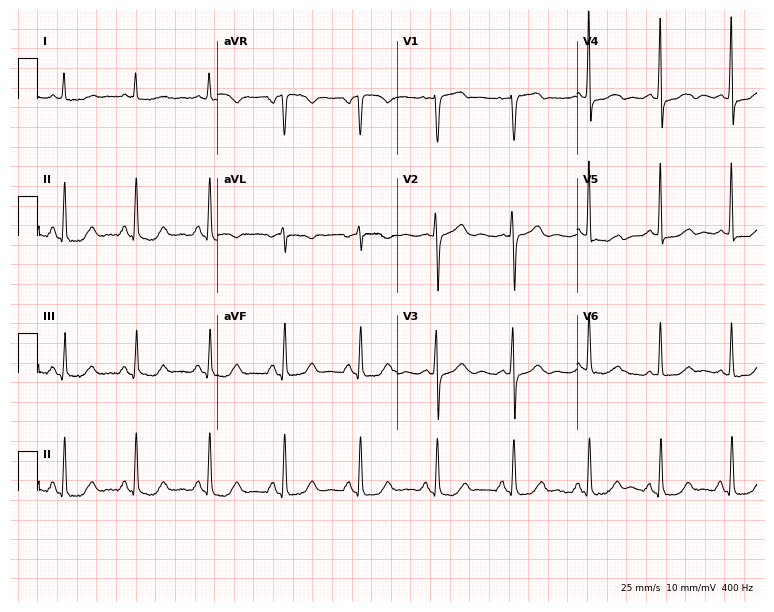
Resting 12-lead electrocardiogram (7.3-second recording at 400 Hz). Patient: a 67-year-old female. None of these six findings is recorded: first-degree AV block, right bundle branch block, left bundle branch block, sinus bradycardia, atrial fibrillation, sinus tachycardia.